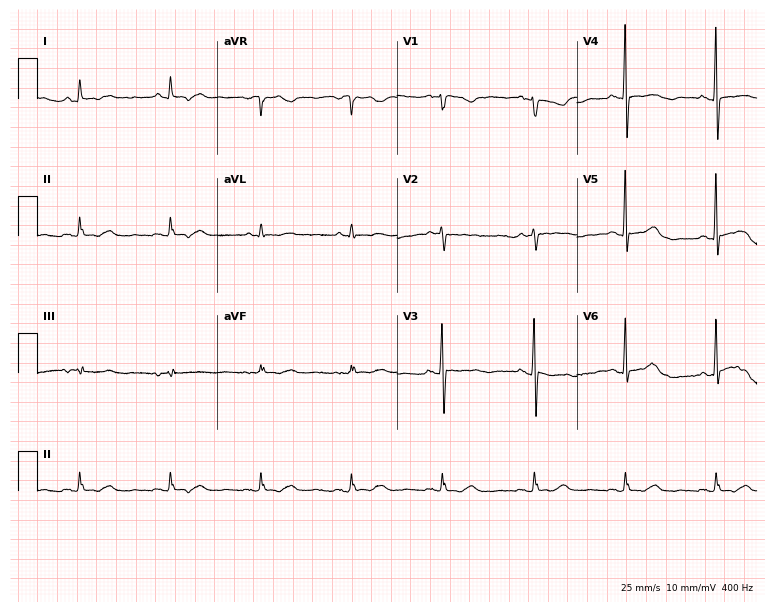
ECG — a 77-year-old female. Screened for six findings — first-degree AV block, right bundle branch block, left bundle branch block, sinus bradycardia, atrial fibrillation, sinus tachycardia — none is recorded.